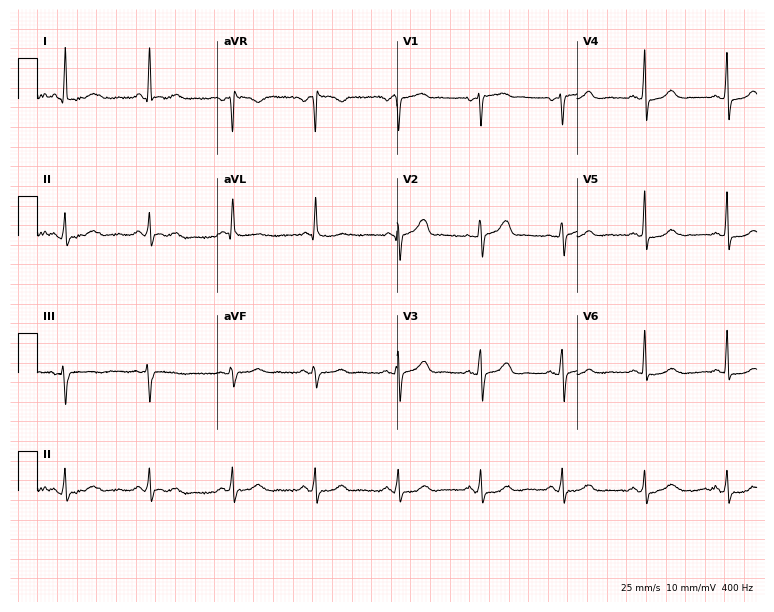
Resting 12-lead electrocardiogram (7.3-second recording at 400 Hz). Patient: a female, 63 years old. Read as a normal ECG.